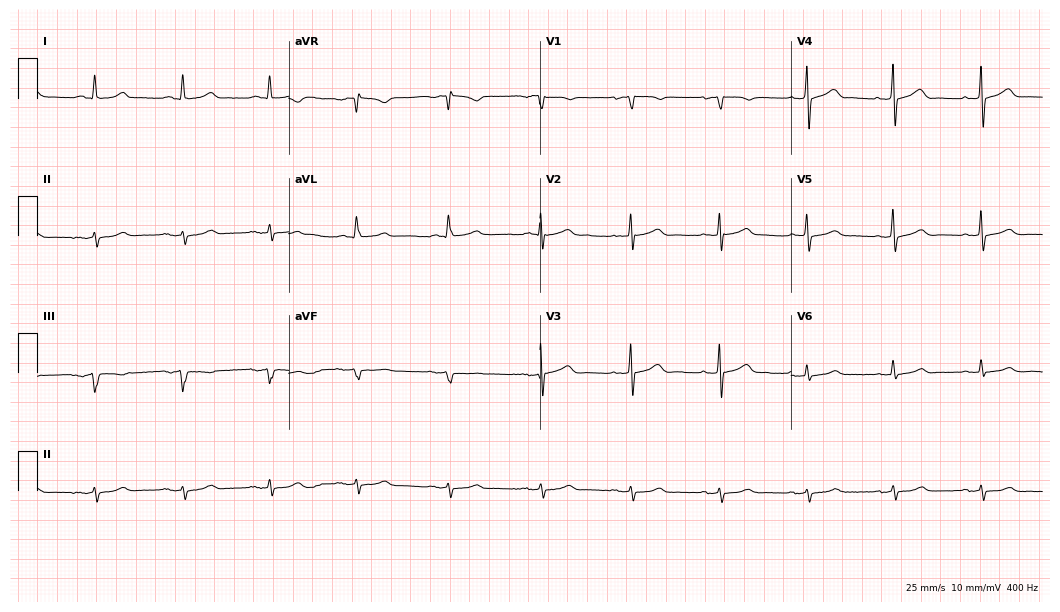
Resting 12-lead electrocardiogram (10.2-second recording at 400 Hz). Patient: a woman, 84 years old. None of these six findings is recorded: first-degree AV block, right bundle branch block, left bundle branch block, sinus bradycardia, atrial fibrillation, sinus tachycardia. Findings outside these six are not listed.